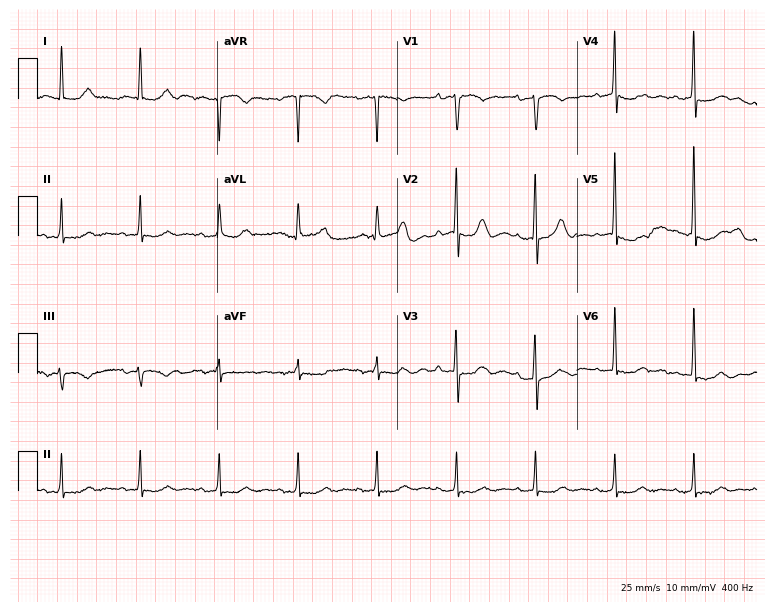
Resting 12-lead electrocardiogram (7.3-second recording at 400 Hz). Patient: an 82-year-old male. None of these six findings is recorded: first-degree AV block, right bundle branch block, left bundle branch block, sinus bradycardia, atrial fibrillation, sinus tachycardia. Only these six findings were labelled.